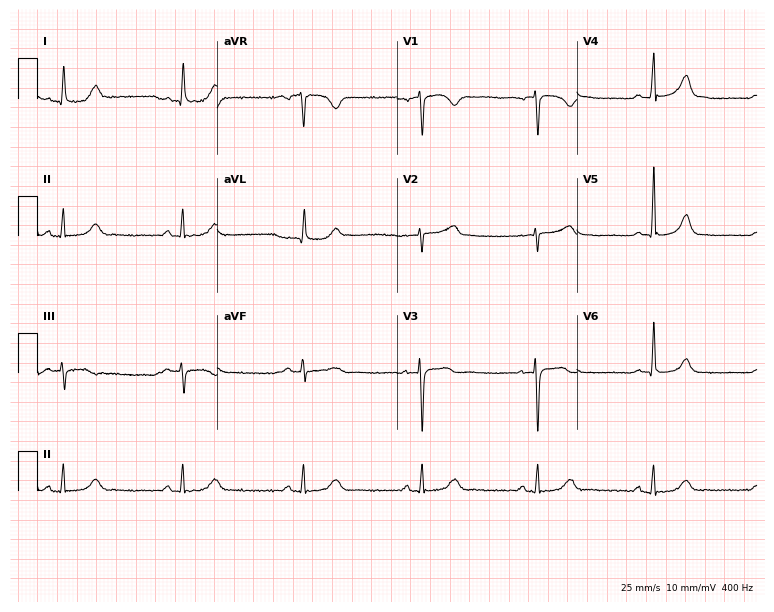
Electrocardiogram (7.3-second recording at 400 Hz), a woman, 50 years old. Overall reading on record: normal ECG.